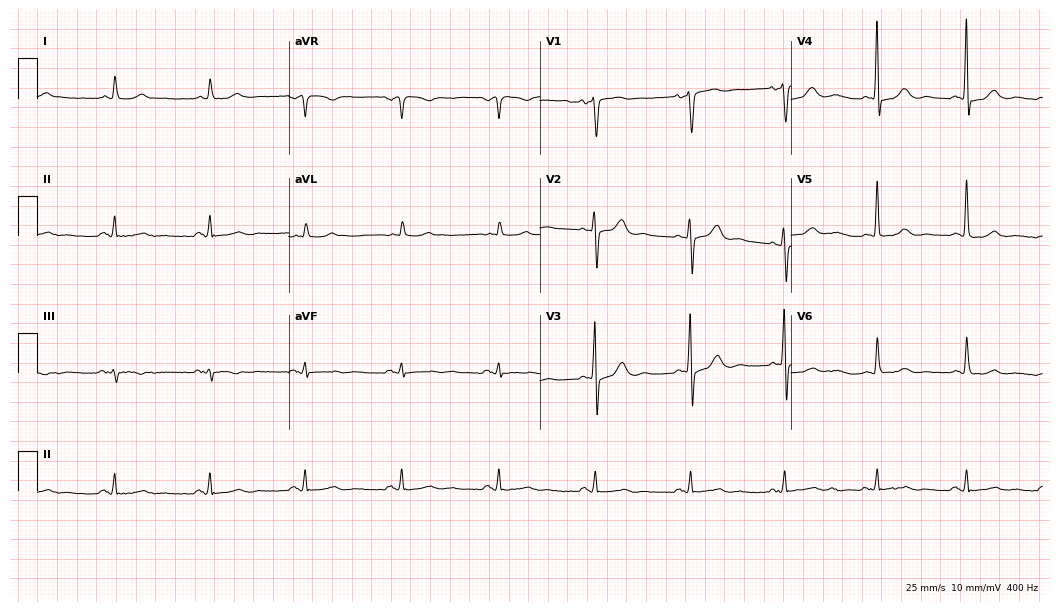
Standard 12-lead ECG recorded from a 68-year-old male (10.2-second recording at 400 Hz). None of these six findings is recorded: first-degree AV block, right bundle branch block, left bundle branch block, sinus bradycardia, atrial fibrillation, sinus tachycardia. Findings outside these six are not listed.